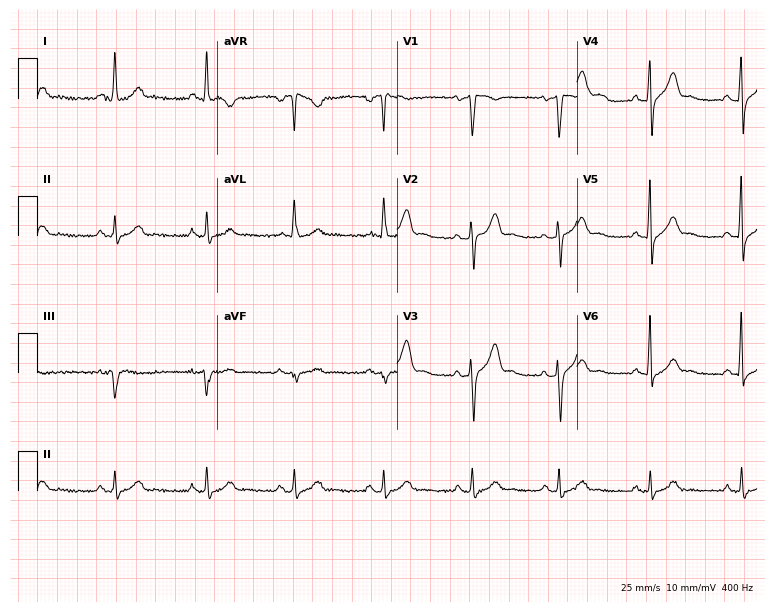
ECG (7.3-second recording at 400 Hz) — a man, 52 years old. Labelled as a normal ECG.